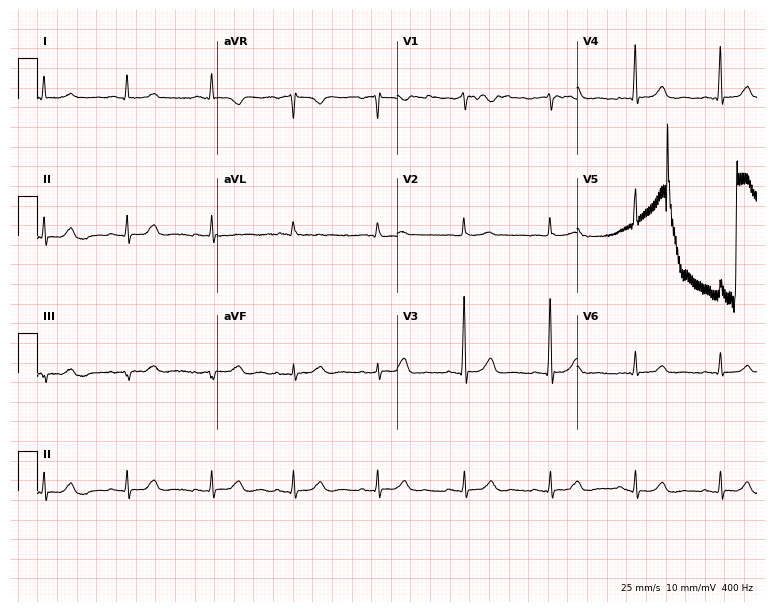
Electrocardiogram, a female patient, 60 years old. Of the six screened findings (first-degree AV block, right bundle branch block (RBBB), left bundle branch block (LBBB), sinus bradycardia, atrial fibrillation (AF), sinus tachycardia), none is recorded.